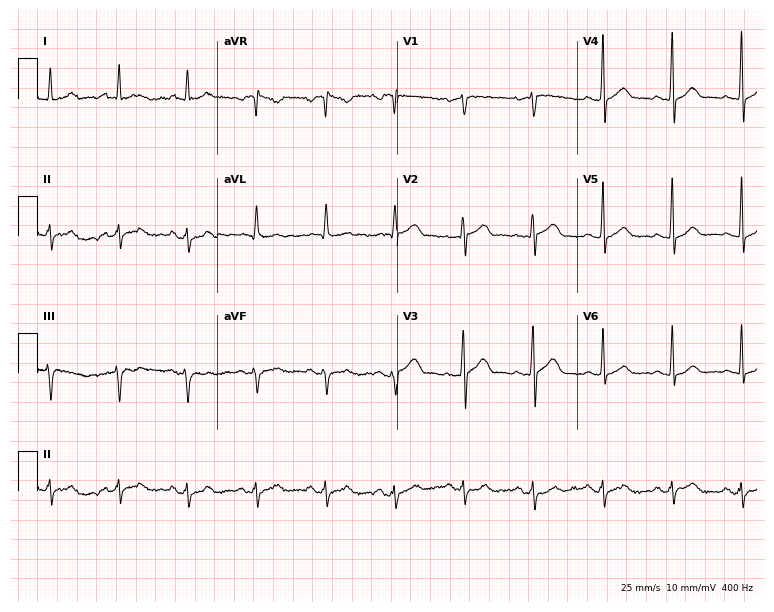
Standard 12-lead ECG recorded from a 60-year-old male patient (7.3-second recording at 400 Hz). None of these six findings is recorded: first-degree AV block, right bundle branch block, left bundle branch block, sinus bradycardia, atrial fibrillation, sinus tachycardia.